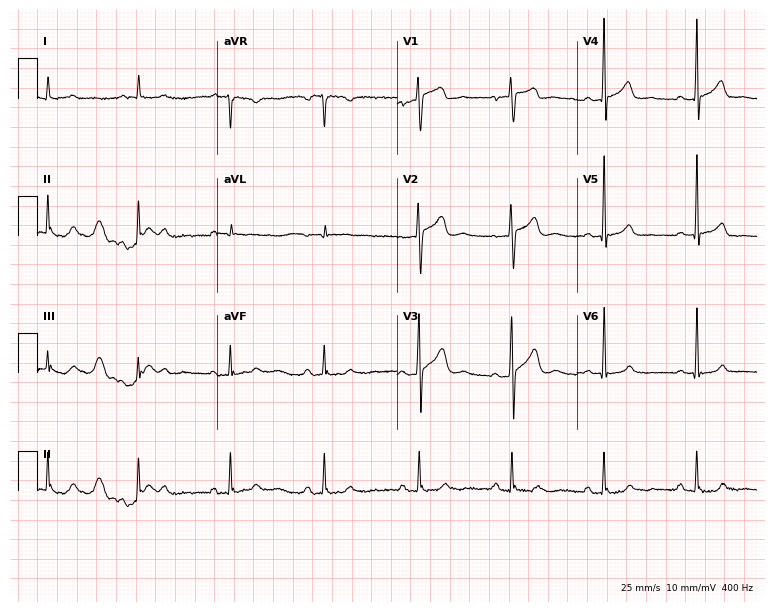
12-lead ECG (7.3-second recording at 400 Hz) from a 47-year-old male patient. Screened for six findings — first-degree AV block, right bundle branch block, left bundle branch block, sinus bradycardia, atrial fibrillation, sinus tachycardia — none is recorded.